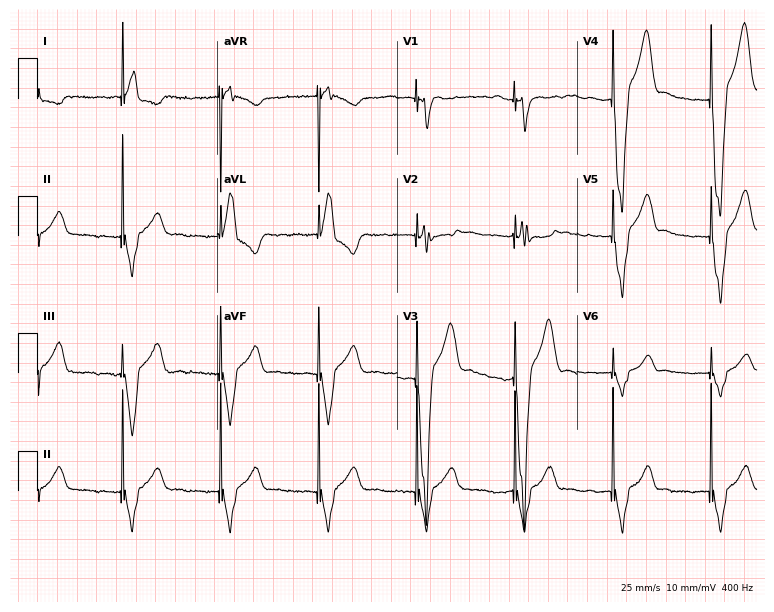
Electrocardiogram (7.3-second recording at 400 Hz), a woman, 72 years old. Of the six screened findings (first-degree AV block, right bundle branch block, left bundle branch block, sinus bradycardia, atrial fibrillation, sinus tachycardia), none is recorded.